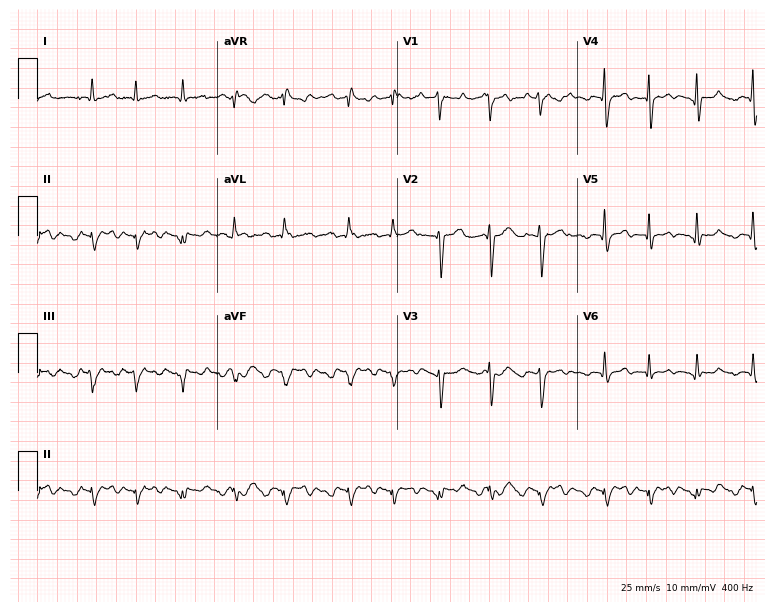
Electrocardiogram (7.3-second recording at 400 Hz), an 81-year-old male patient. Of the six screened findings (first-degree AV block, right bundle branch block (RBBB), left bundle branch block (LBBB), sinus bradycardia, atrial fibrillation (AF), sinus tachycardia), none is recorded. Other findings, if any, are not listed.